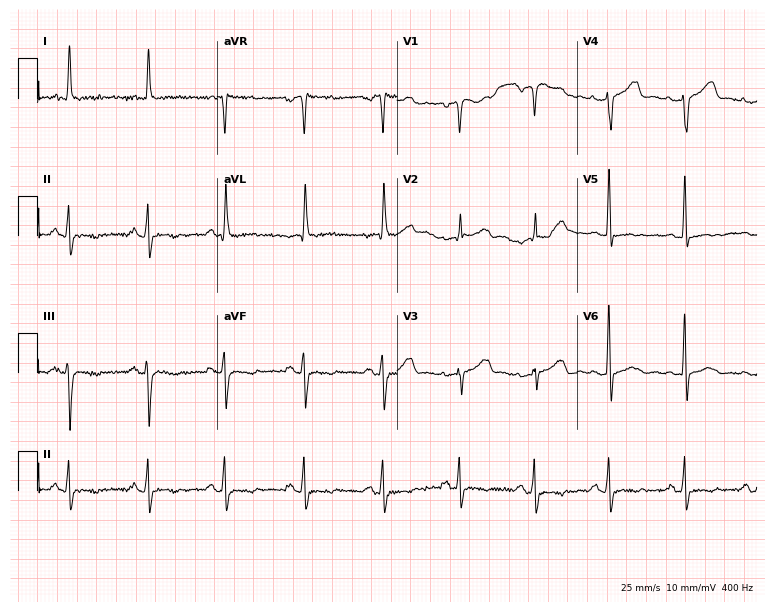
12-lead ECG from a female patient, 70 years old. Screened for six findings — first-degree AV block, right bundle branch block, left bundle branch block, sinus bradycardia, atrial fibrillation, sinus tachycardia — none is recorded. Other findings, if any, are not listed.